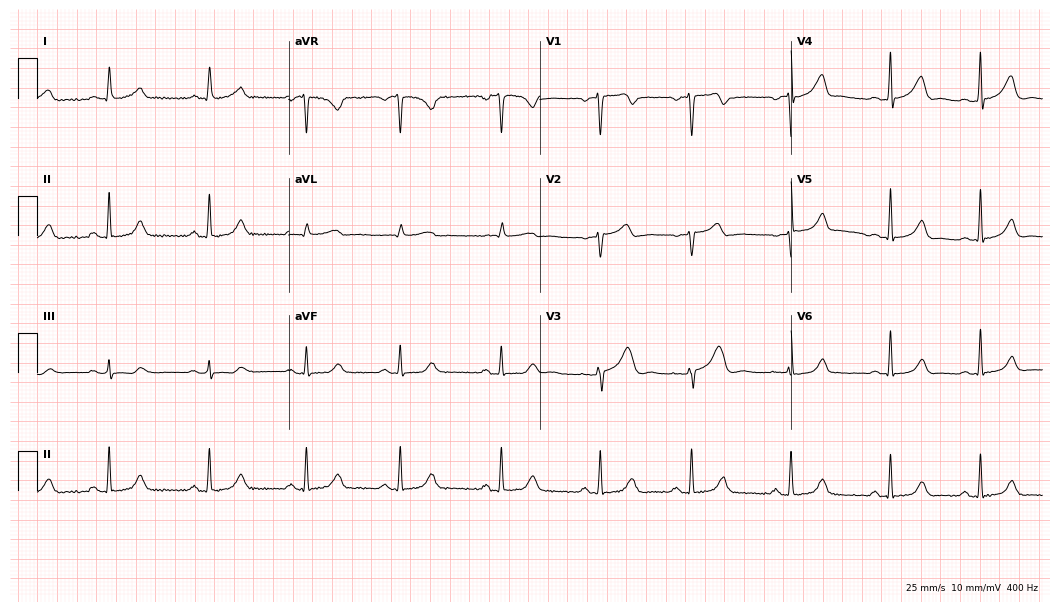
12-lead ECG from a female patient, 50 years old. Recorded interpretation: within normal limits.